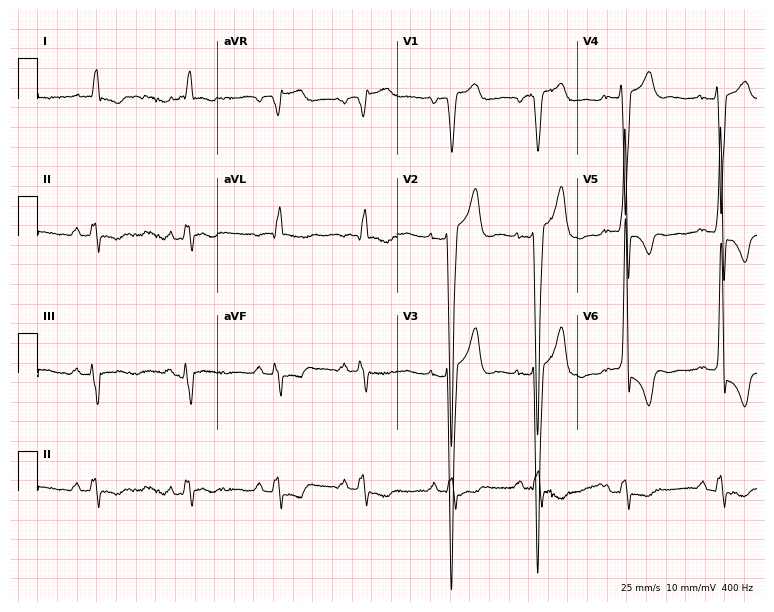
12-lead ECG from a man, 80 years old. No first-degree AV block, right bundle branch block (RBBB), left bundle branch block (LBBB), sinus bradycardia, atrial fibrillation (AF) or sinus tachycardia recorded for this tracing.